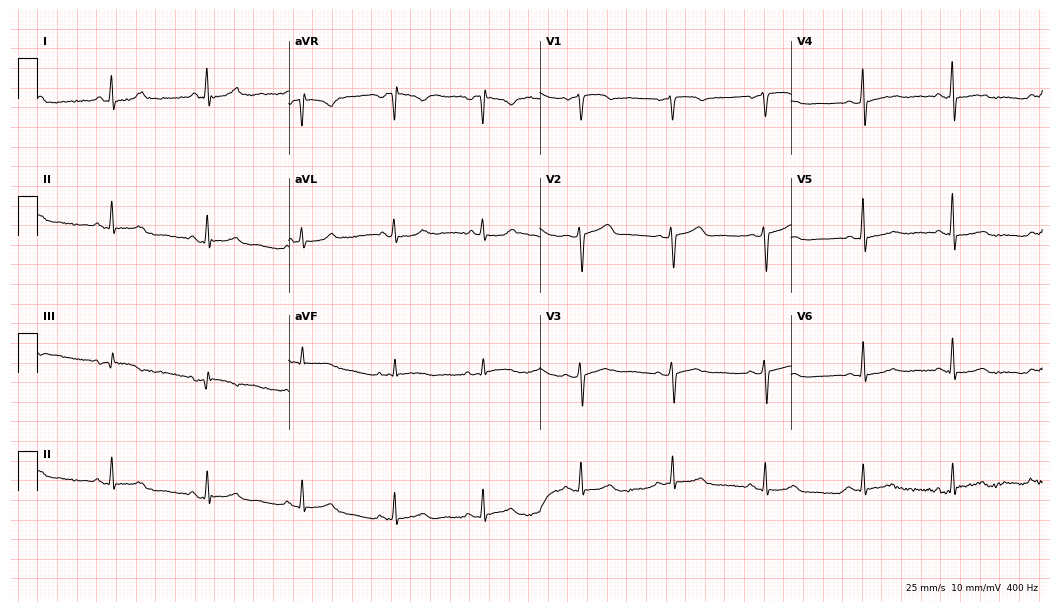
Electrocardiogram, a 55-year-old female. Overall reading on record: normal ECG.